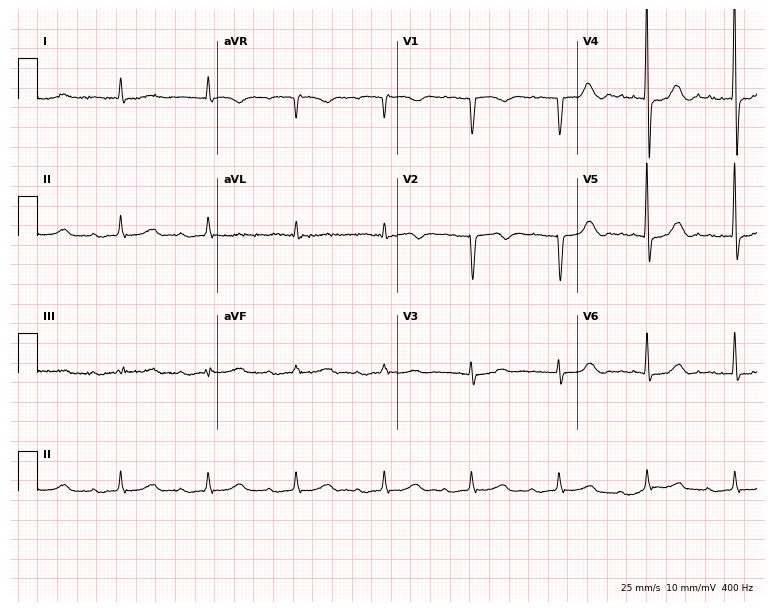
ECG (7.3-second recording at 400 Hz) — an 84-year-old man. Findings include first-degree AV block.